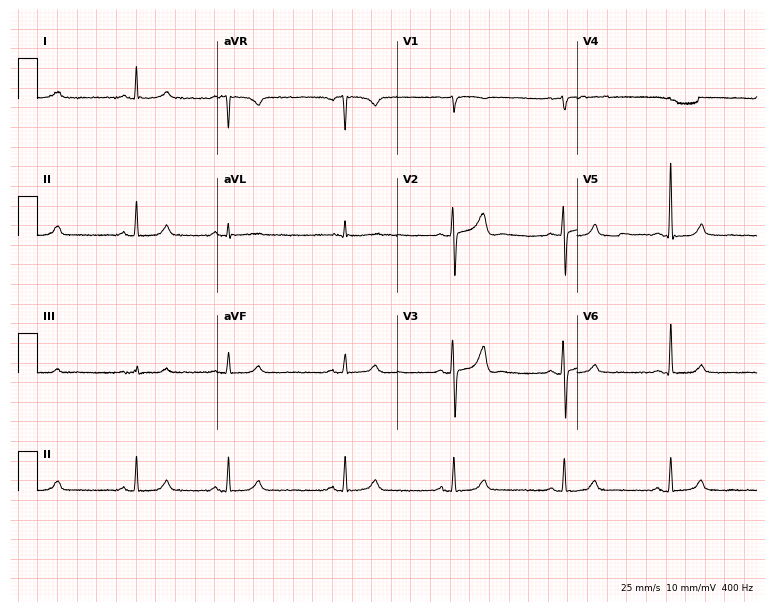
12-lead ECG from a male patient, 63 years old (7.3-second recording at 400 Hz). Recorded interpretation: within normal limits.